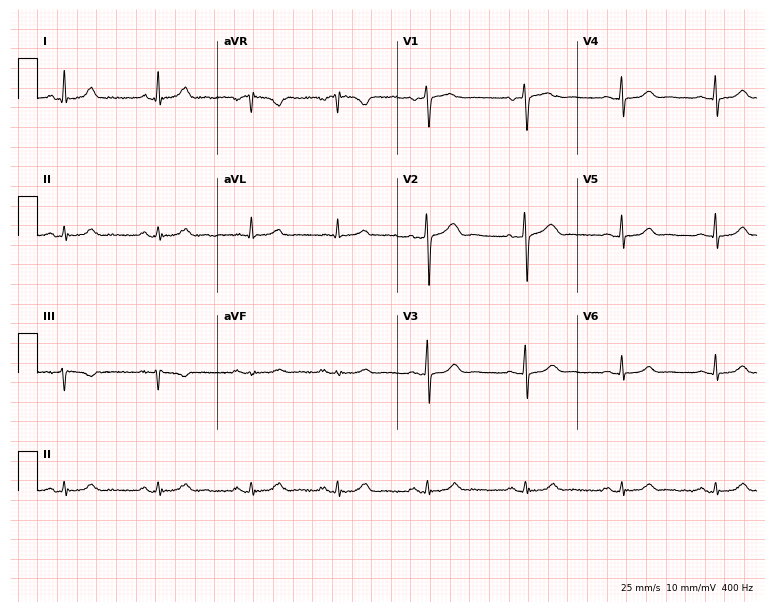
12-lead ECG from a woman, 54 years old. Labelled as a normal ECG.